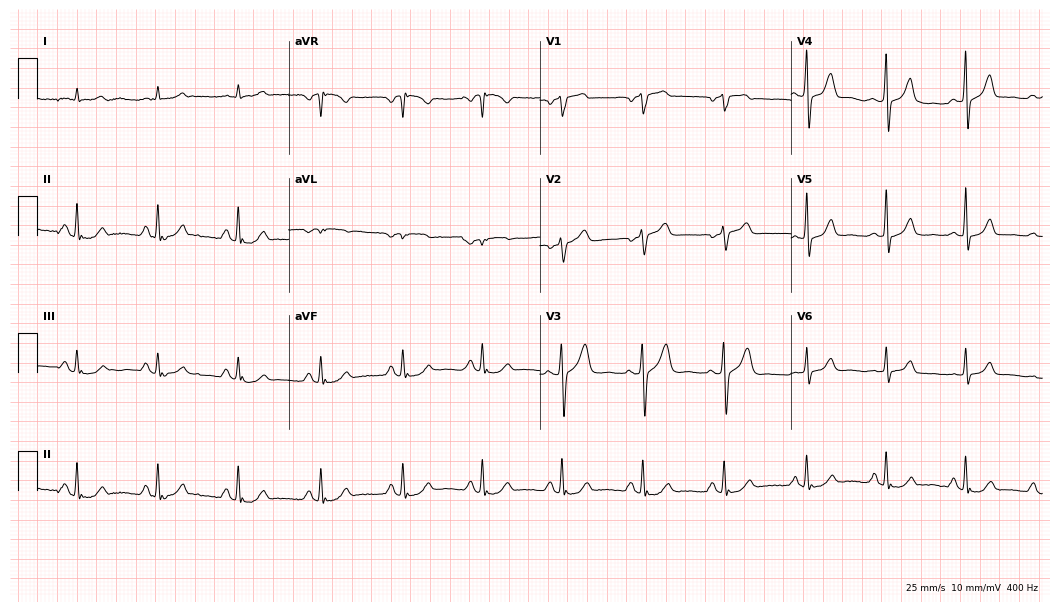
ECG — a male patient, 62 years old. Screened for six findings — first-degree AV block, right bundle branch block, left bundle branch block, sinus bradycardia, atrial fibrillation, sinus tachycardia — none is recorded.